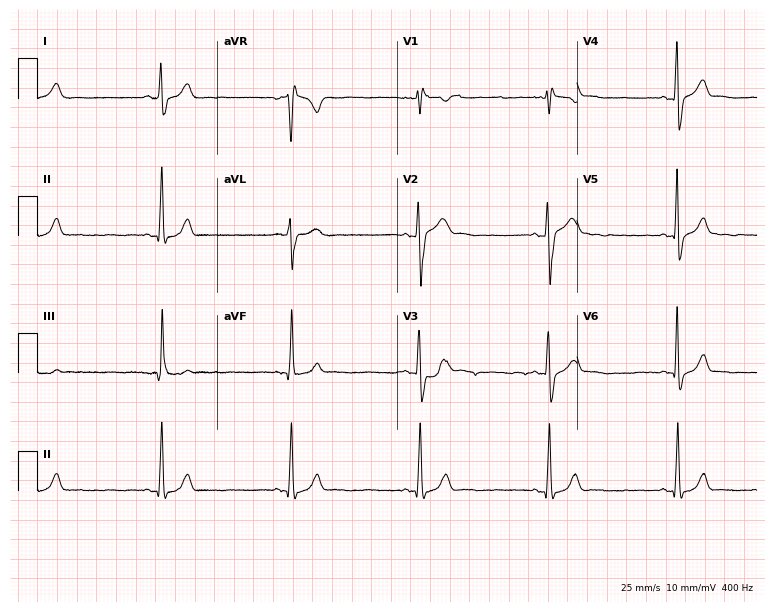
Standard 12-lead ECG recorded from a male patient, 29 years old (7.3-second recording at 400 Hz). The tracing shows sinus bradycardia (a sinus rate of 50 beats per minute or less).